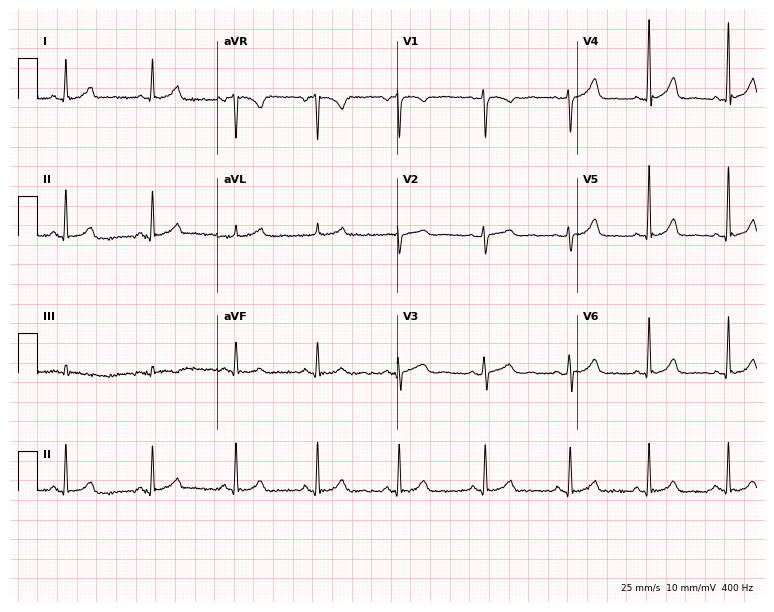
12-lead ECG from a 29-year-old woman (7.3-second recording at 400 Hz). No first-degree AV block, right bundle branch block (RBBB), left bundle branch block (LBBB), sinus bradycardia, atrial fibrillation (AF) or sinus tachycardia recorded for this tracing. Only these six findings were labelled.